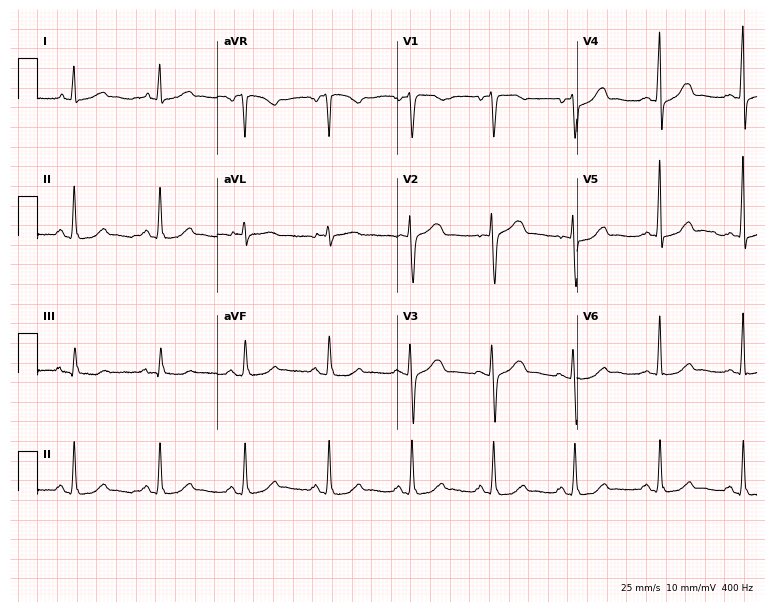
Resting 12-lead electrocardiogram. Patient: a female, 55 years old. Read as a normal ECG.